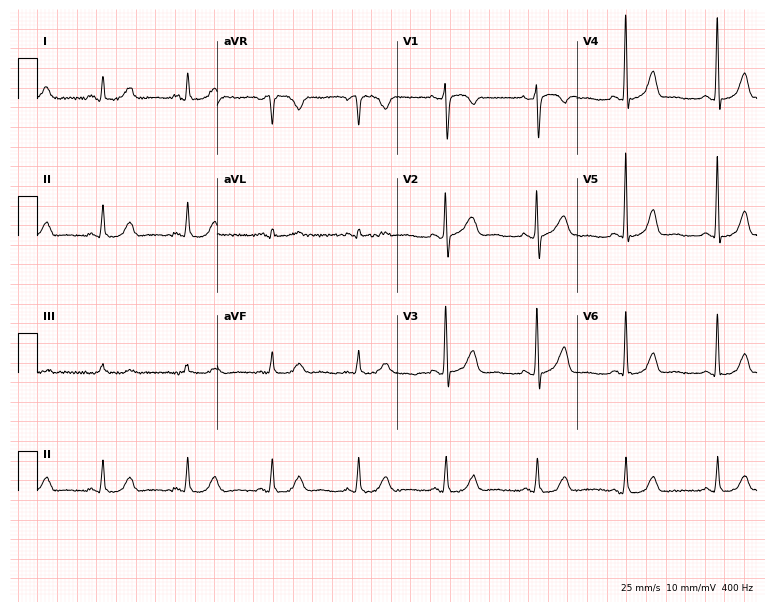
Standard 12-lead ECG recorded from a 47-year-old woman. None of these six findings is recorded: first-degree AV block, right bundle branch block (RBBB), left bundle branch block (LBBB), sinus bradycardia, atrial fibrillation (AF), sinus tachycardia. Other findings, if any, are not listed.